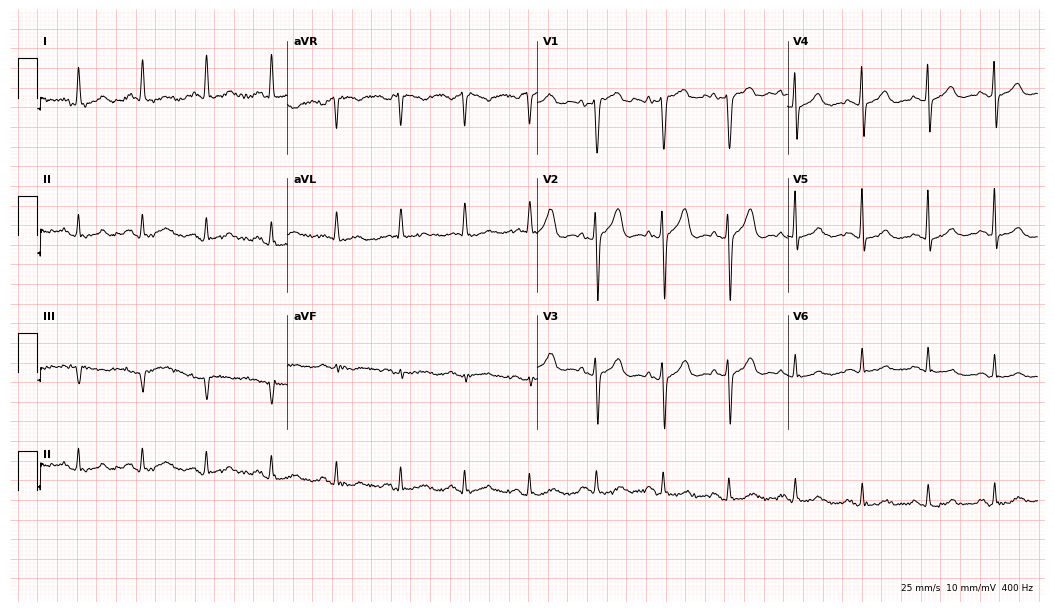
12-lead ECG from a 75-year-old male. Recorded interpretation: within normal limits.